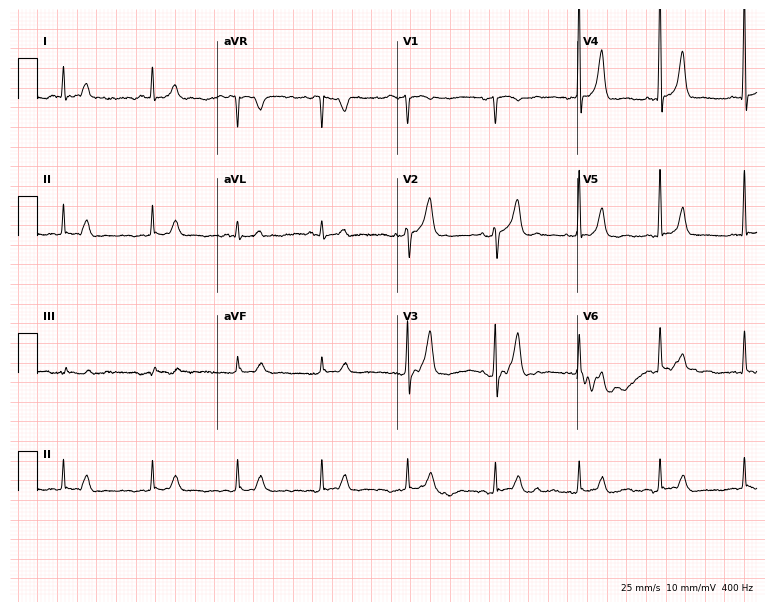
12-lead ECG from a 52-year-old female. No first-degree AV block, right bundle branch block, left bundle branch block, sinus bradycardia, atrial fibrillation or sinus tachycardia recorded for this tracing. Only these six findings were labelled.